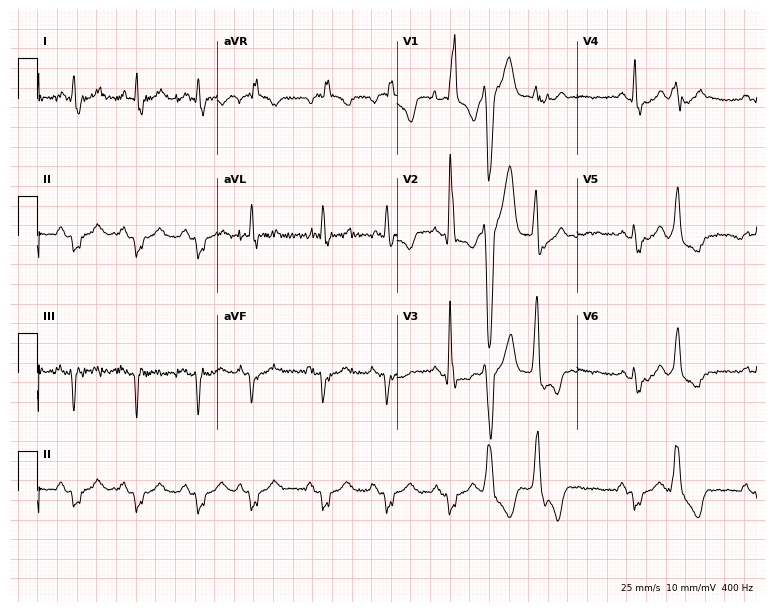
Electrocardiogram (7.3-second recording at 400 Hz), a man, 81 years old. Interpretation includes right bundle branch block.